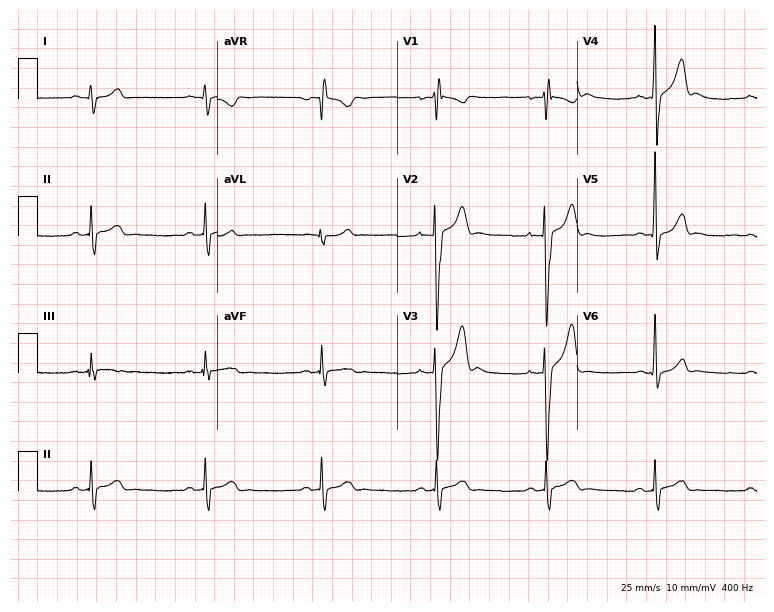
ECG — a female, 18 years old. Screened for six findings — first-degree AV block, right bundle branch block, left bundle branch block, sinus bradycardia, atrial fibrillation, sinus tachycardia — none is recorded.